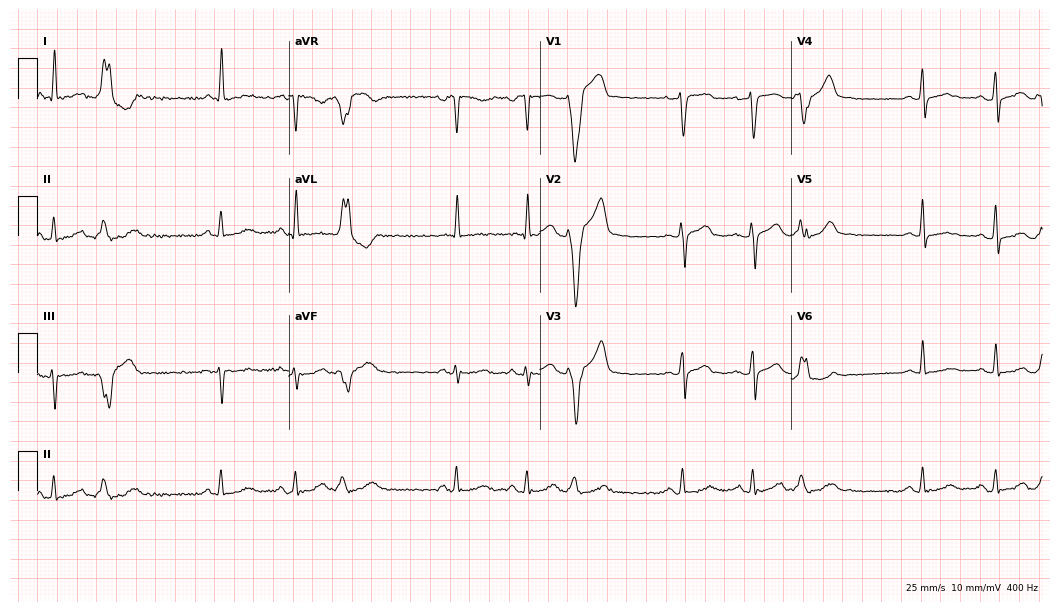
Standard 12-lead ECG recorded from a female patient, 52 years old (10.2-second recording at 400 Hz). None of these six findings is recorded: first-degree AV block, right bundle branch block (RBBB), left bundle branch block (LBBB), sinus bradycardia, atrial fibrillation (AF), sinus tachycardia. Findings outside these six are not listed.